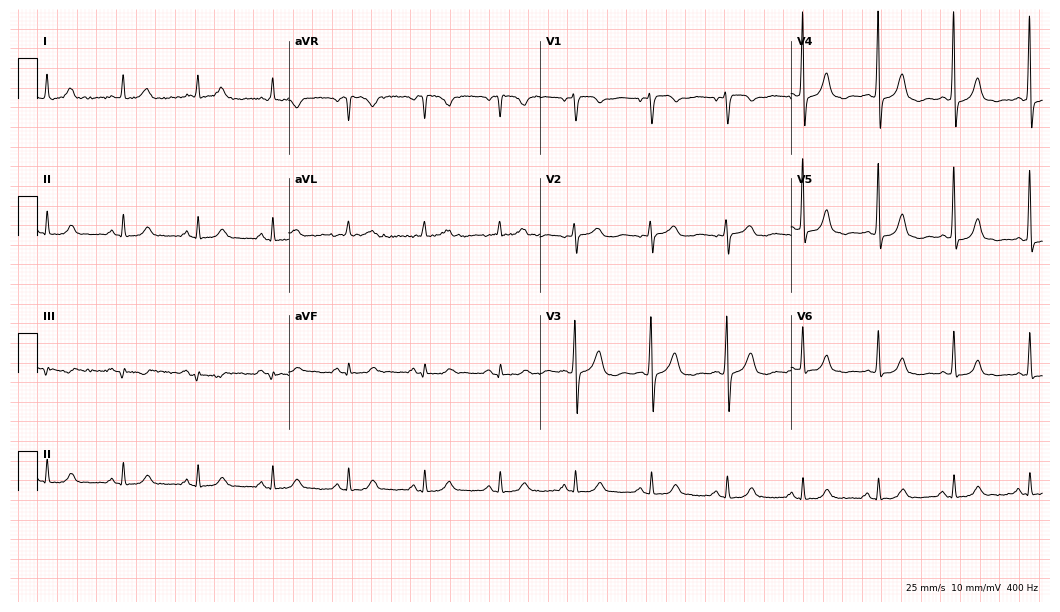
Standard 12-lead ECG recorded from a 59-year-old male (10.2-second recording at 400 Hz). None of these six findings is recorded: first-degree AV block, right bundle branch block, left bundle branch block, sinus bradycardia, atrial fibrillation, sinus tachycardia. Only these six findings were labelled.